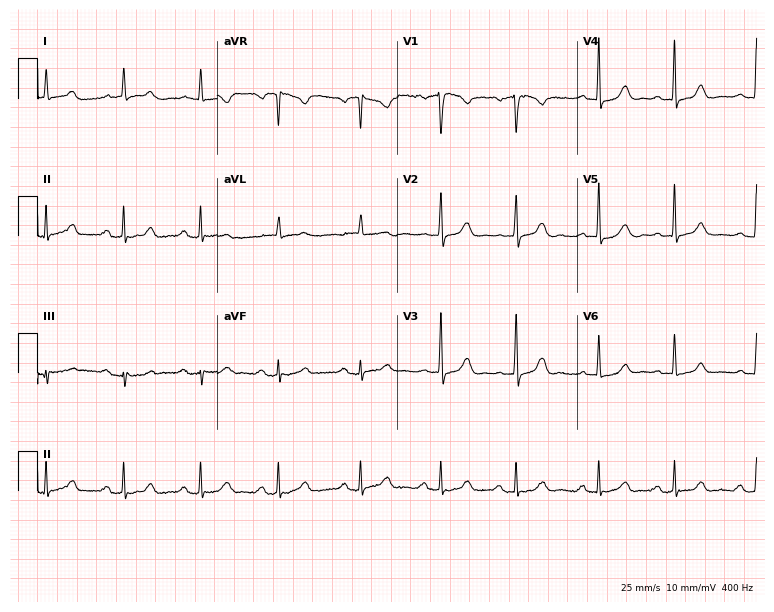
Electrocardiogram, a 69-year-old female. Of the six screened findings (first-degree AV block, right bundle branch block (RBBB), left bundle branch block (LBBB), sinus bradycardia, atrial fibrillation (AF), sinus tachycardia), none is recorded. Other findings, if any, are not listed.